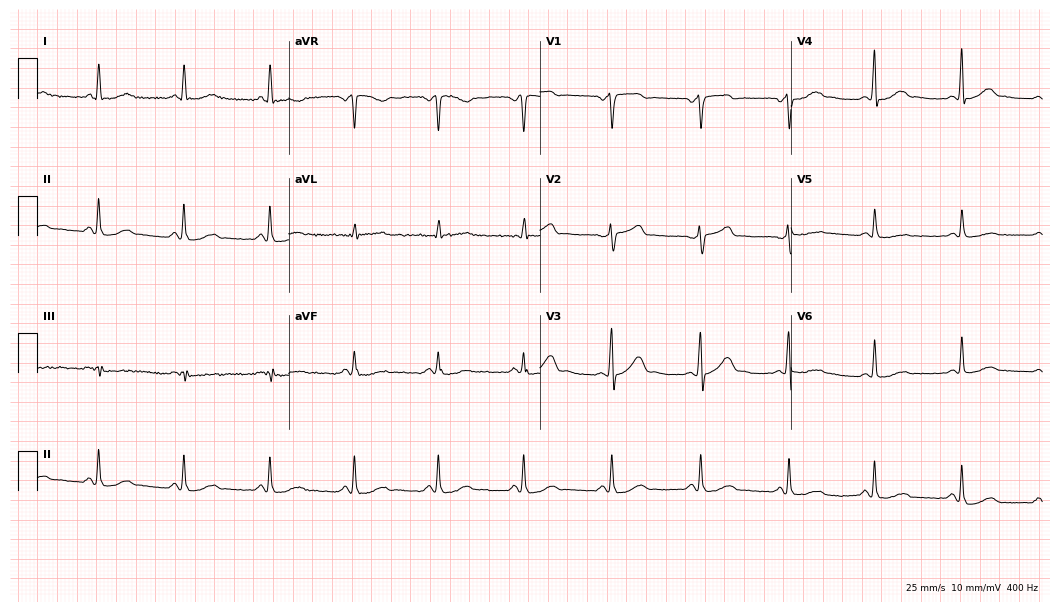
Resting 12-lead electrocardiogram. Patient: a 65-year-old woman. None of these six findings is recorded: first-degree AV block, right bundle branch block, left bundle branch block, sinus bradycardia, atrial fibrillation, sinus tachycardia. Only these six findings were labelled.